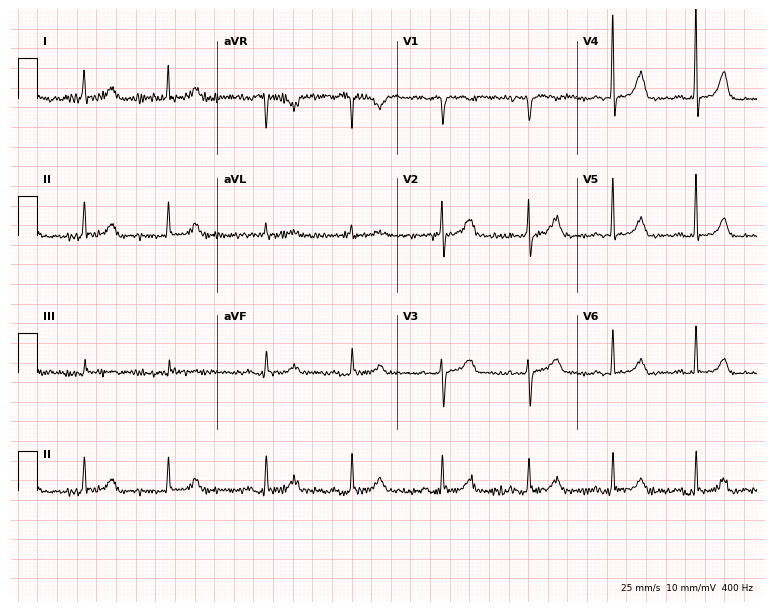
Electrocardiogram, an 85-year-old woman. Overall reading on record: normal ECG.